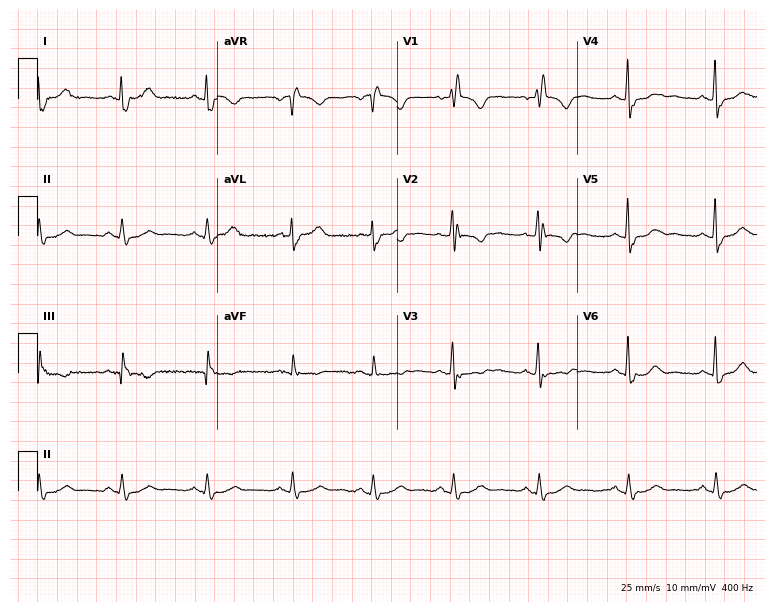
12-lead ECG from a 51-year-old female patient (7.3-second recording at 400 Hz). Shows right bundle branch block (RBBB).